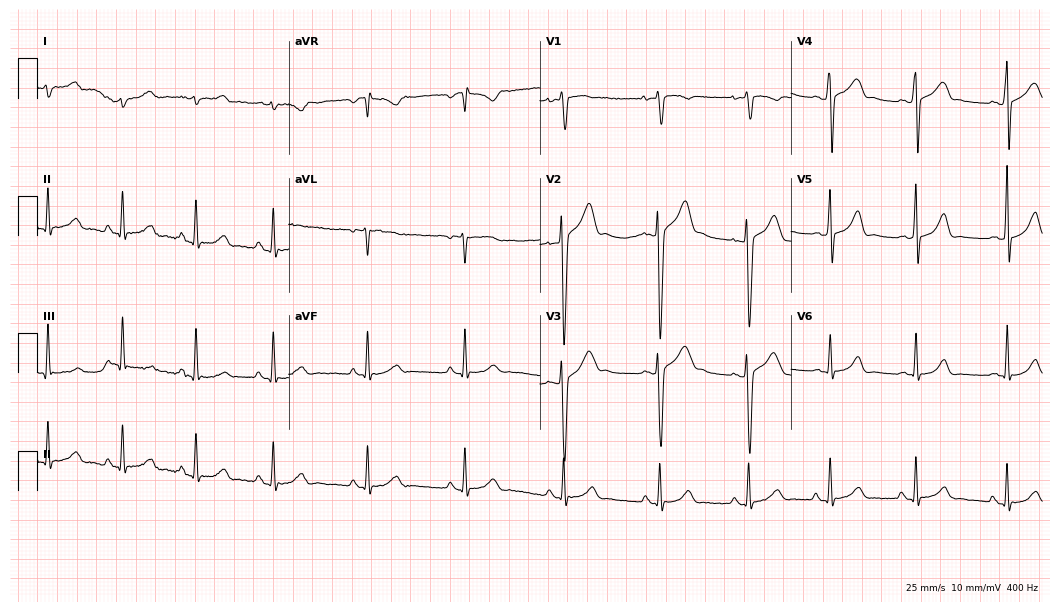
12-lead ECG from a 17-year-old male (10.2-second recording at 400 Hz). Recorded interpretation: within normal limits.